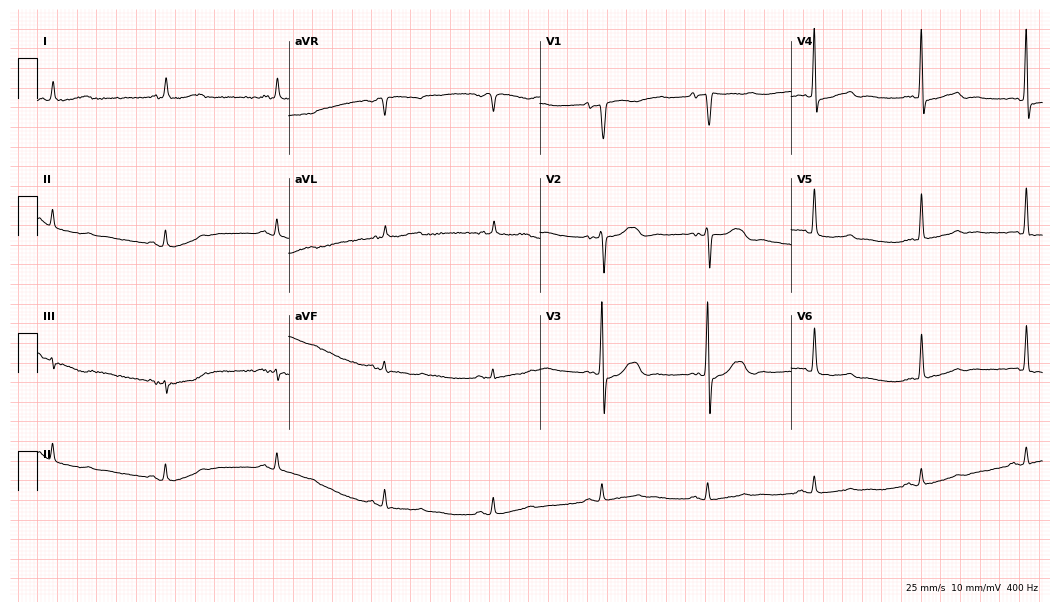
12-lead ECG from a 77-year-old female (10.2-second recording at 400 Hz). No first-degree AV block, right bundle branch block (RBBB), left bundle branch block (LBBB), sinus bradycardia, atrial fibrillation (AF) or sinus tachycardia recorded for this tracing. Findings outside these six are not listed.